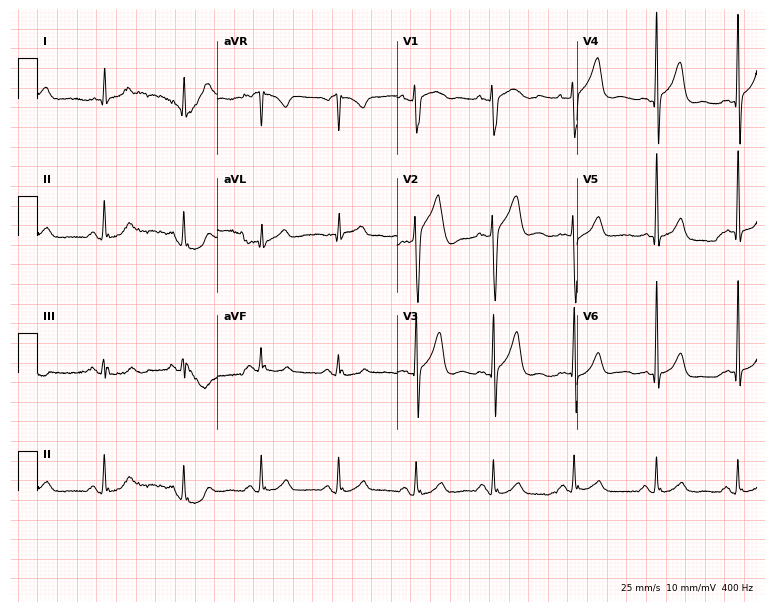
Standard 12-lead ECG recorded from a male, 50 years old. Read as a normal ECG.